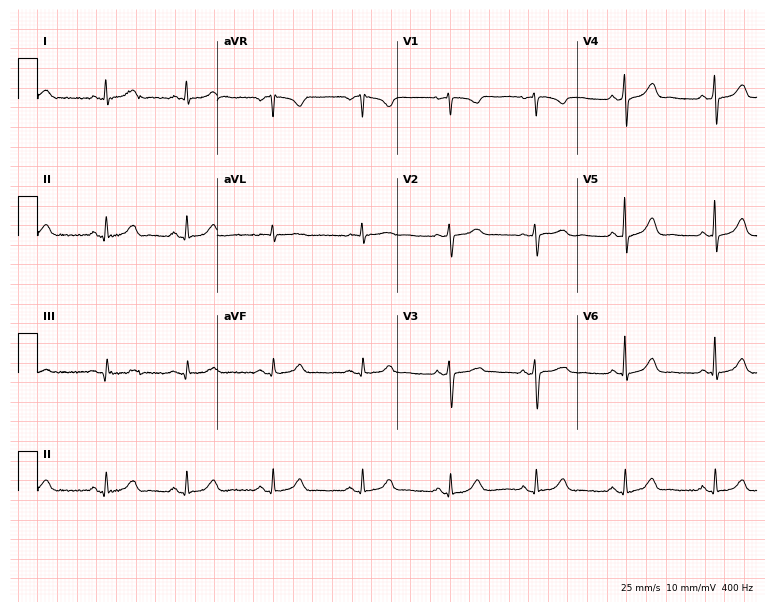
Standard 12-lead ECG recorded from a female patient, 51 years old (7.3-second recording at 400 Hz). Read as a normal ECG.